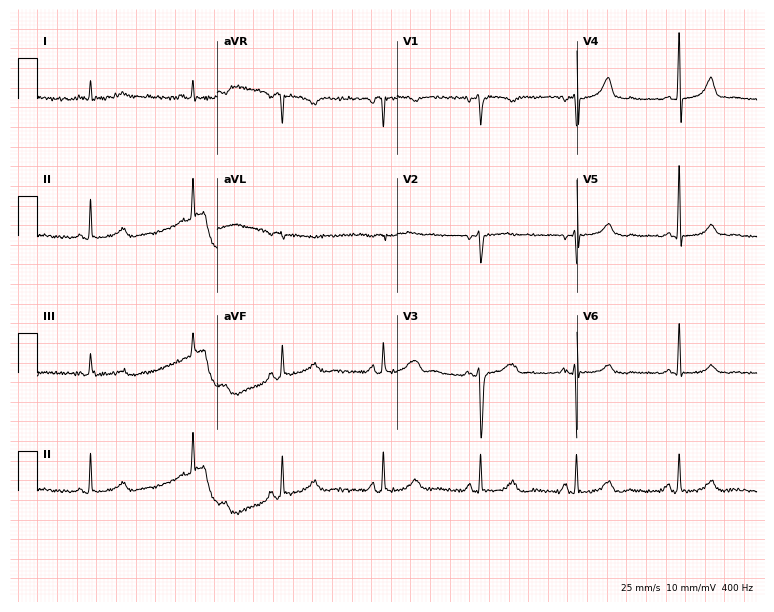
12-lead ECG from a female, 61 years old (7.3-second recording at 400 Hz). Recorded interpretation: within normal limits.